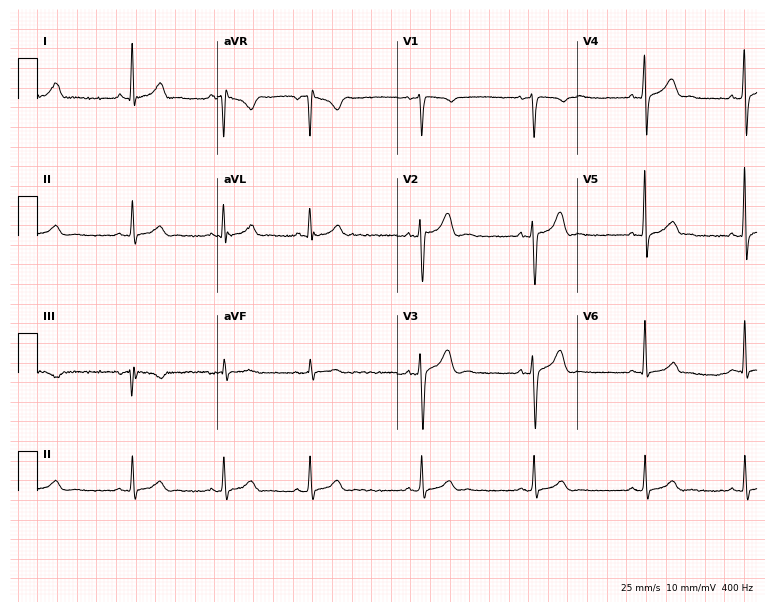
Electrocardiogram (7.3-second recording at 400 Hz), a 30-year-old male. Overall reading on record: normal ECG.